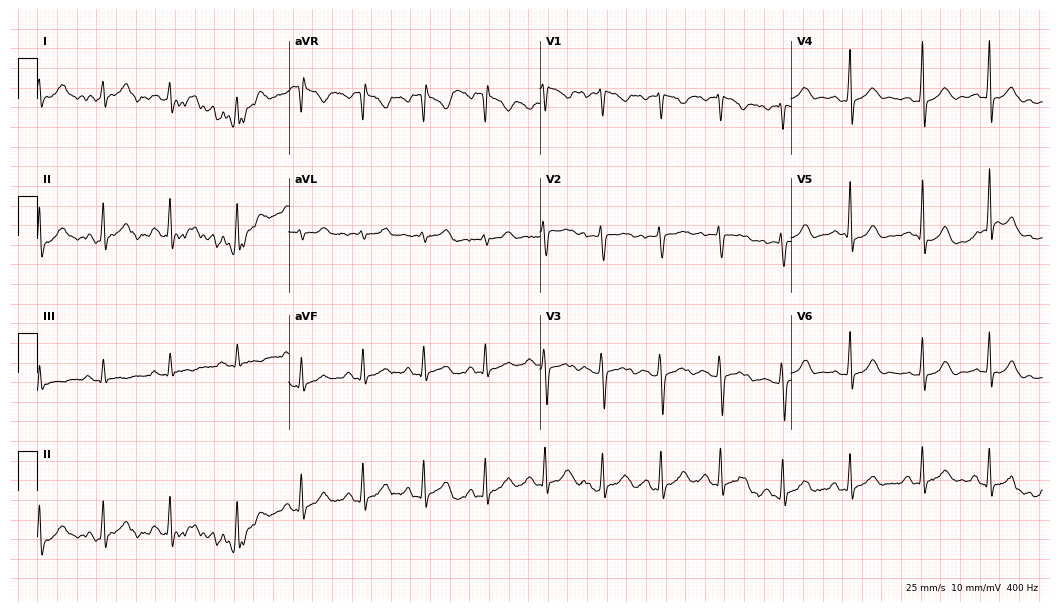
12-lead ECG from a 21-year-old female patient (10.2-second recording at 400 Hz). No first-degree AV block, right bundle branch block (RBBB), left bundle branch block (LBBB), sinus bradycardia, atrial fibrillation (AF) or sinus tachycardia recorded for this tracing.